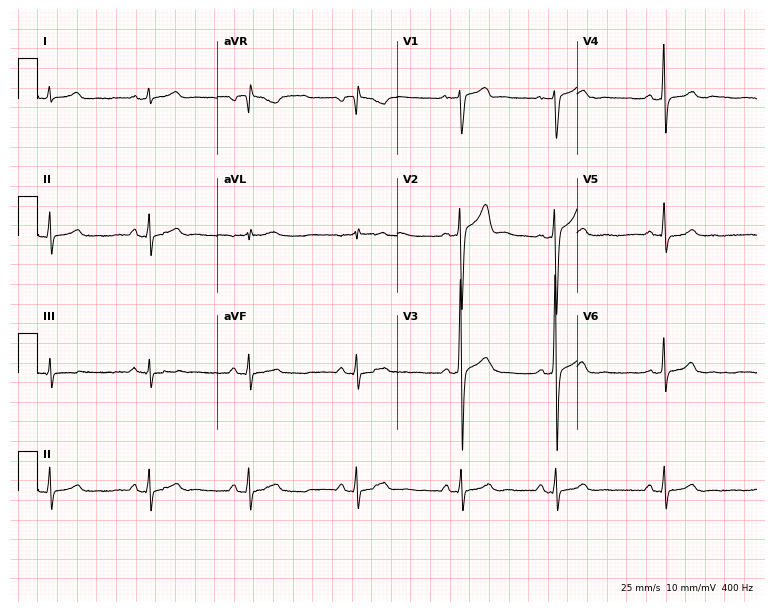
12-lead ECG from a 42-year-old man (7.3-second recording at 400 Hz). Recorded interpretation: within normal limits.